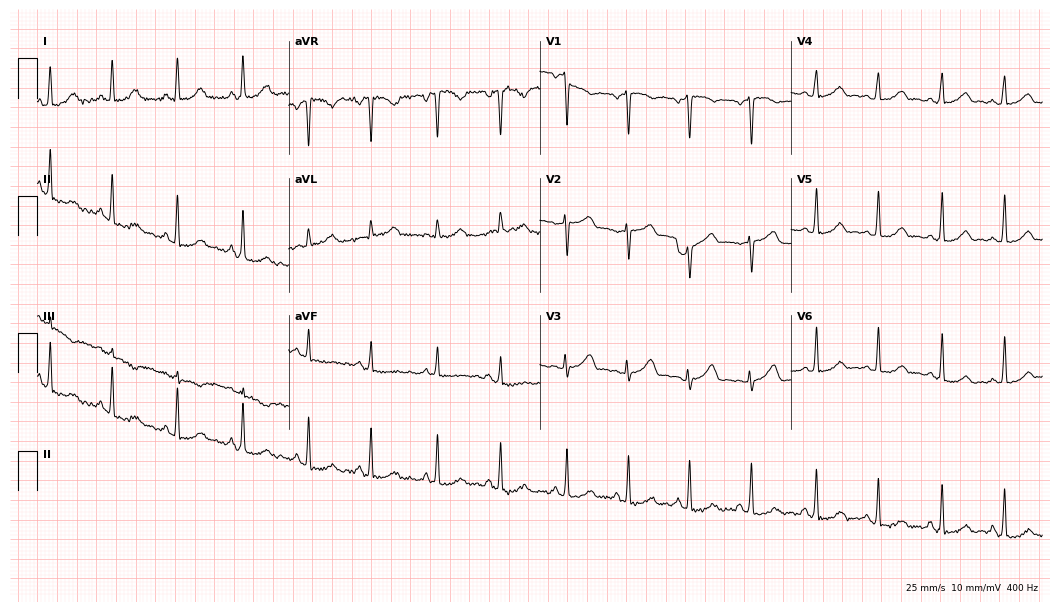
12-lead ECG from a woman, 40 years old. Recorded interpretation: within normal limits.